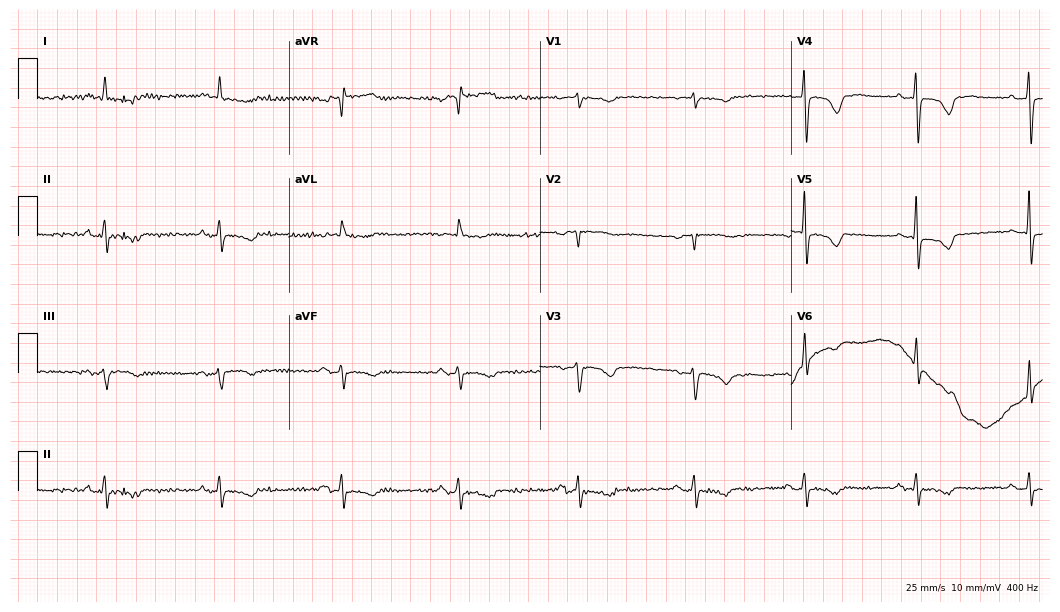
Electrocardiogram, a 74-year-old female patient. Of the six screened findings (first-degree AV block, right bundle branch block, left bundle branch block, sinus bradycardia, atrial fibrillation, sinus tachycardia), none is recorded. Other findings, if any, are not listed.